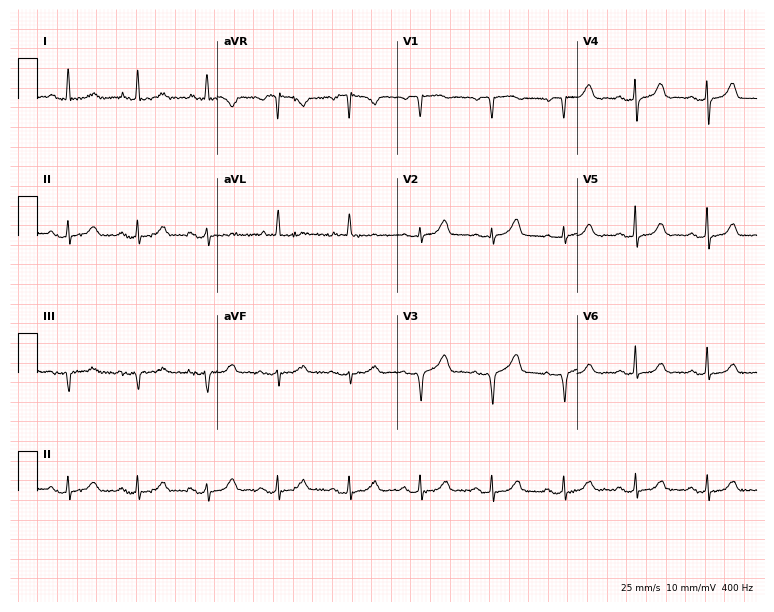
12-lead ECG (7.3-second recording at 400 Hz) from an 81-year-old female patient. Labelled as a normal ECG.